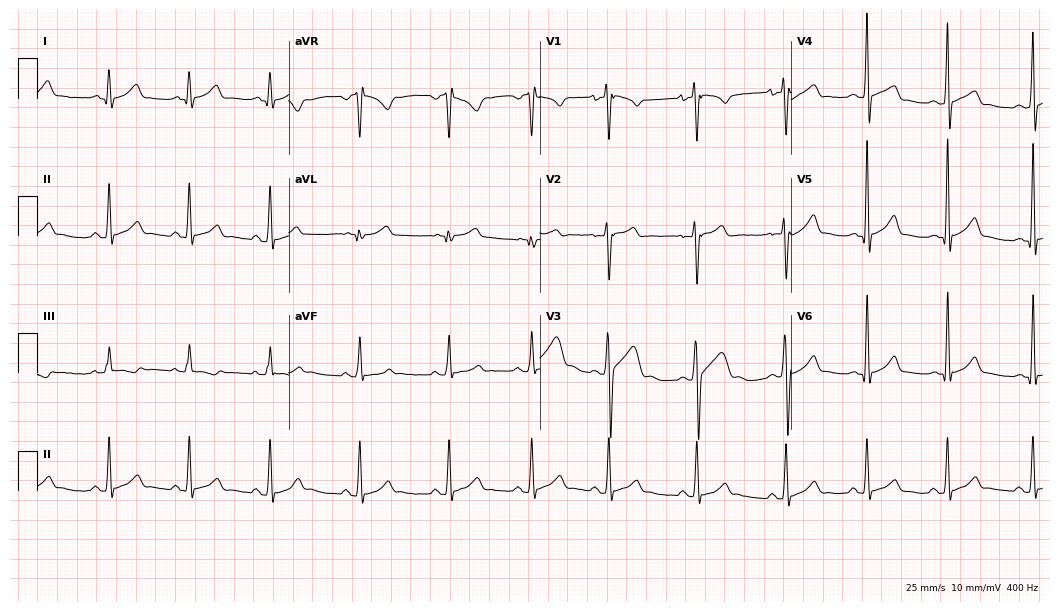
12-lead ECG from a male, 17 years old. Labelled as a normal ECG.